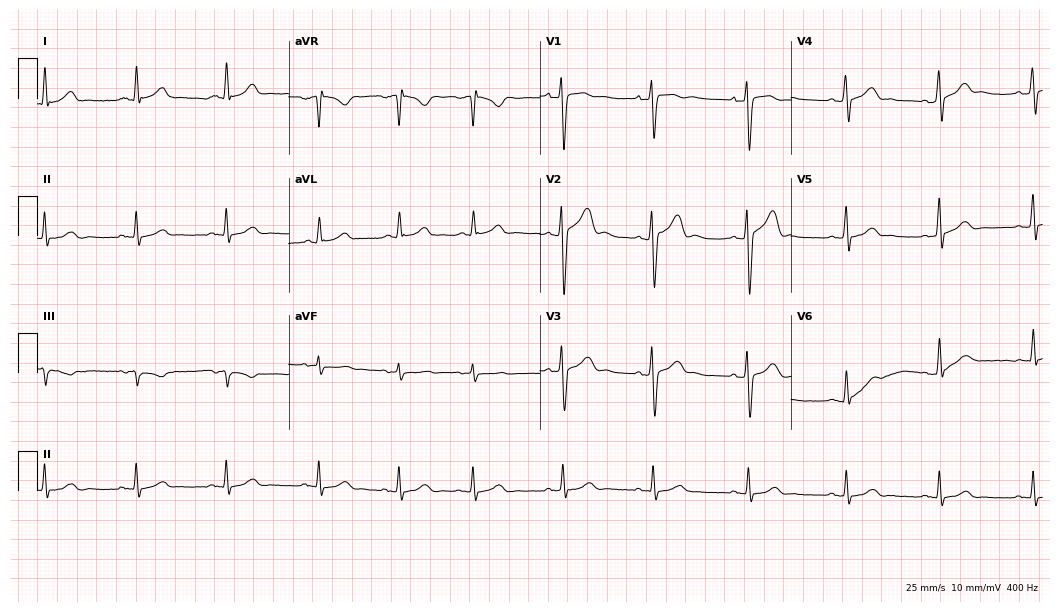
Resting 12-lead electrocardiogram. Patient: a 30-year-old male. Read as a normal ECG.